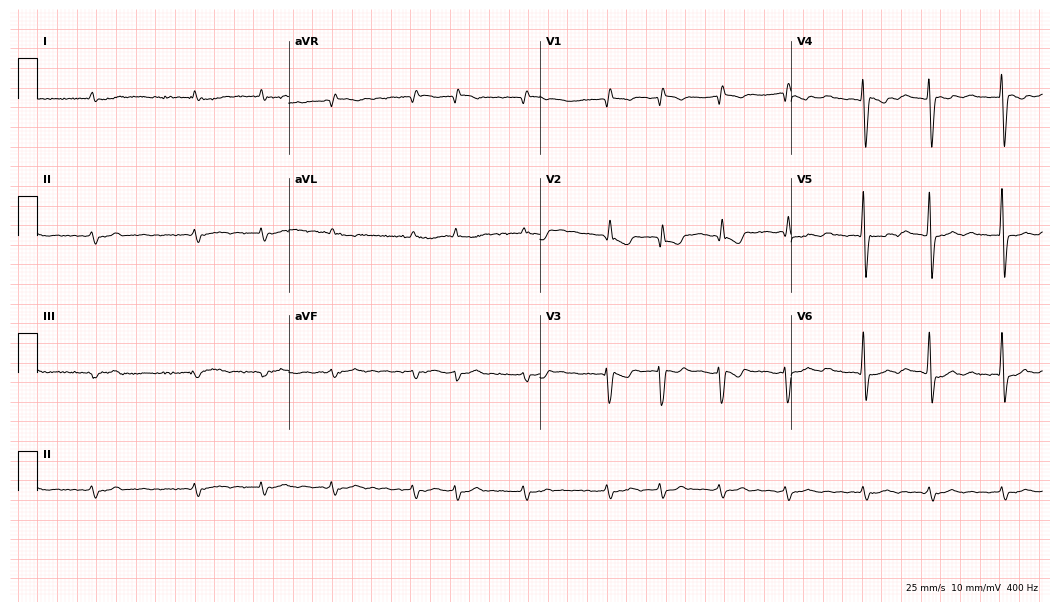
Resting 12-lead electrocardiogram (10.2-second recording at 400 Hz). Patient: a male, 66 years old. The tracing shows atrial fibrillation.